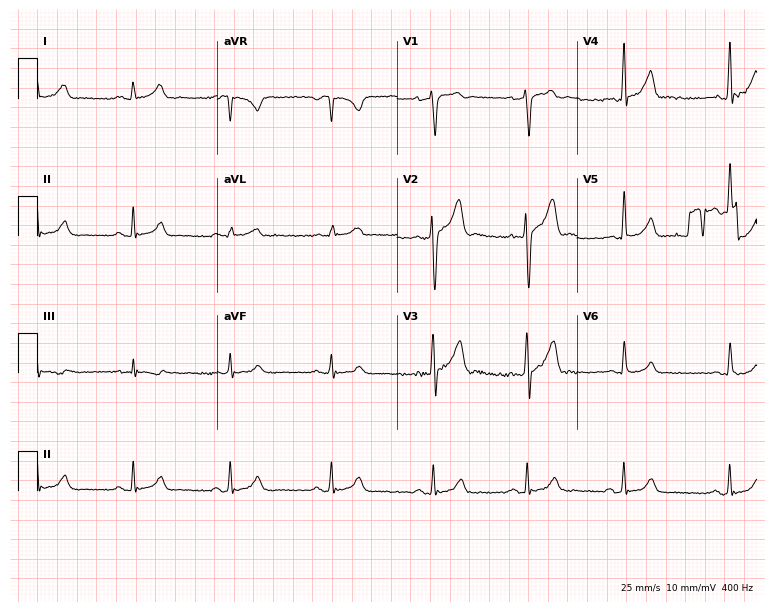
12-lead ECG from a male, 27 years old. No first-degree AV block, right bundle branch block, left bundle branch block, sinus bradycardia, atrial fibrillation or sinus tachycardia recorded for this tracing.